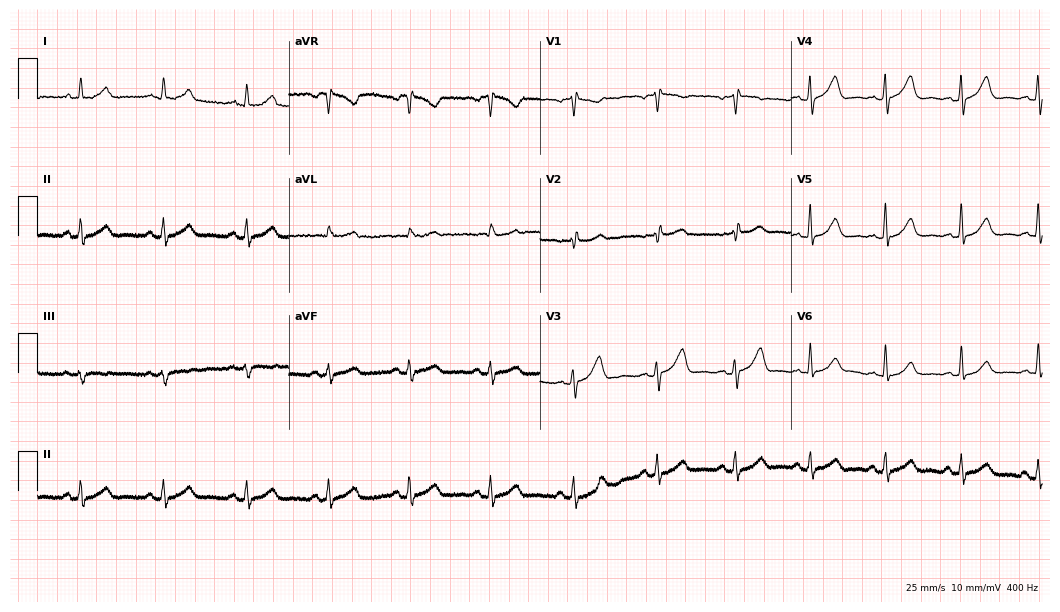
Resting 12-lead electrocardiogram. Patient: a female, 71 years old. Read as a normal ECG.